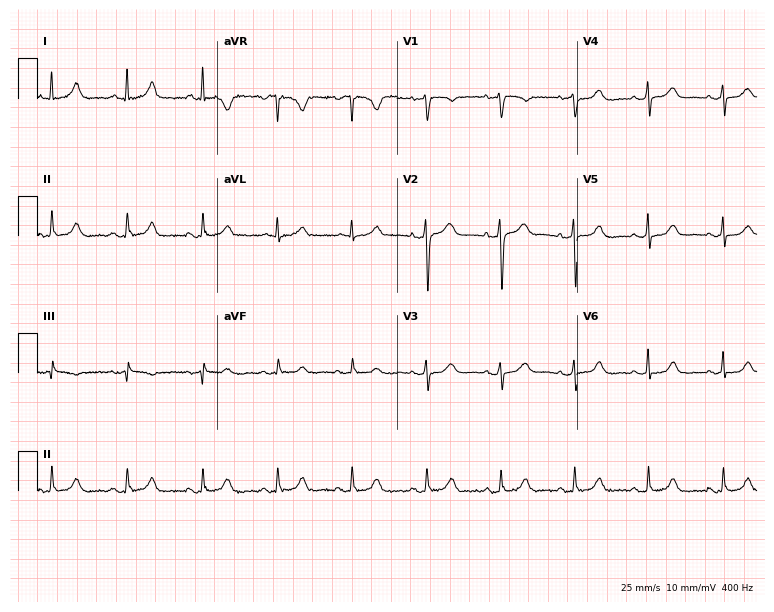
Resting 12-lead electrocardiogram (7.3-second recording at 400 Hz). Patient: a woman, 47 years old. Read as a normal ECG.